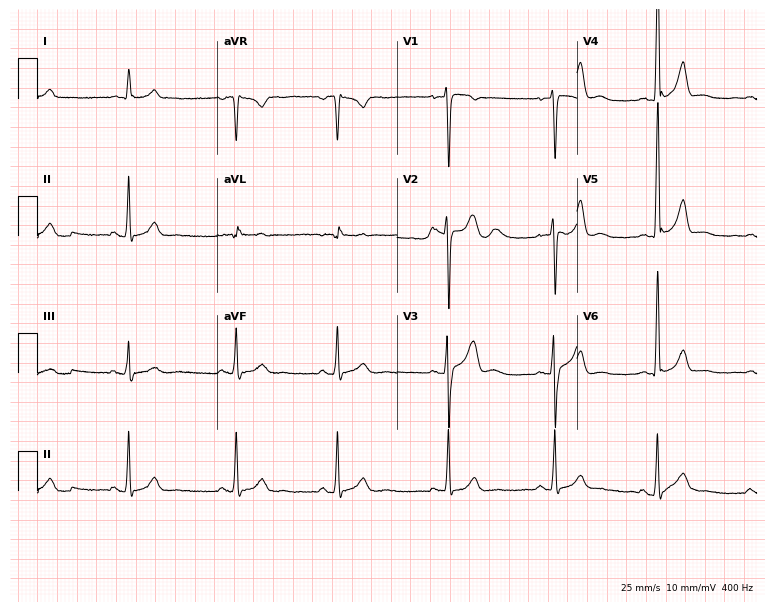
12-lead ECG from a male, 42 years old. No first-degree AV block, right bundle branch block, left bundle branch block, sinus bradycardia, atrial fibrillation or sinus tachycardia recorded for this tracing. Only these six findings were labelled.